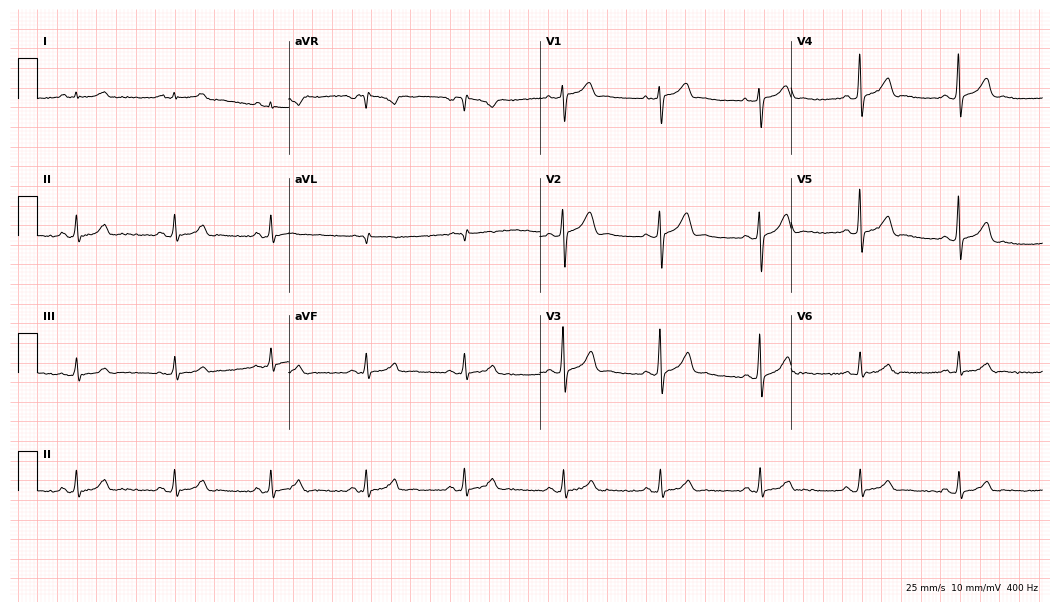
Electrocardiogram (10.2-second recording at 400 Hz), a male, 54 years old. Overall reading on record: normal ECG.